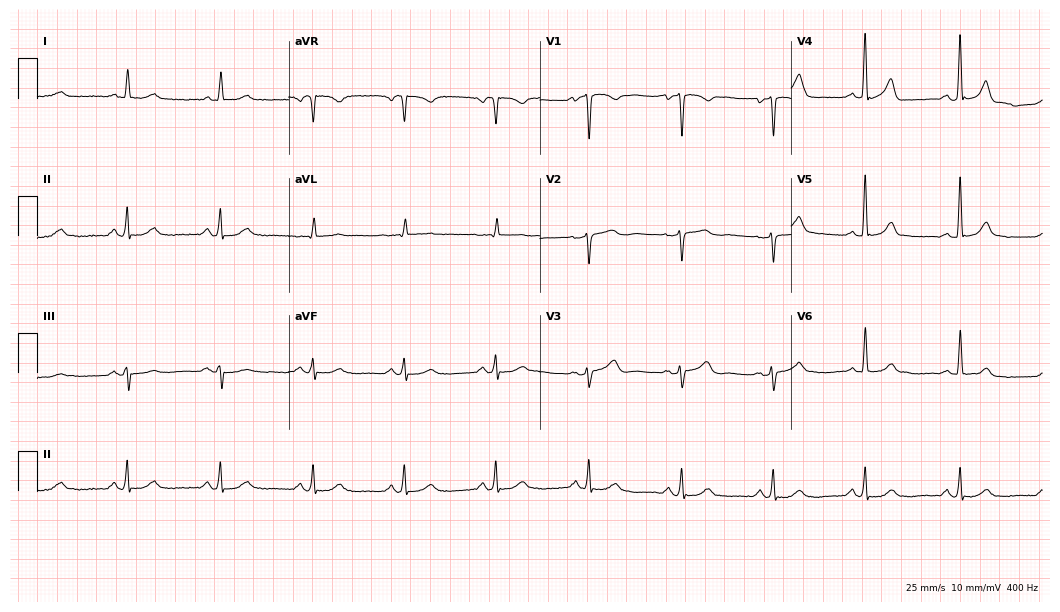
12-lead ECG from a 66-year-old woman. Recorded interpretation: within normal limits.